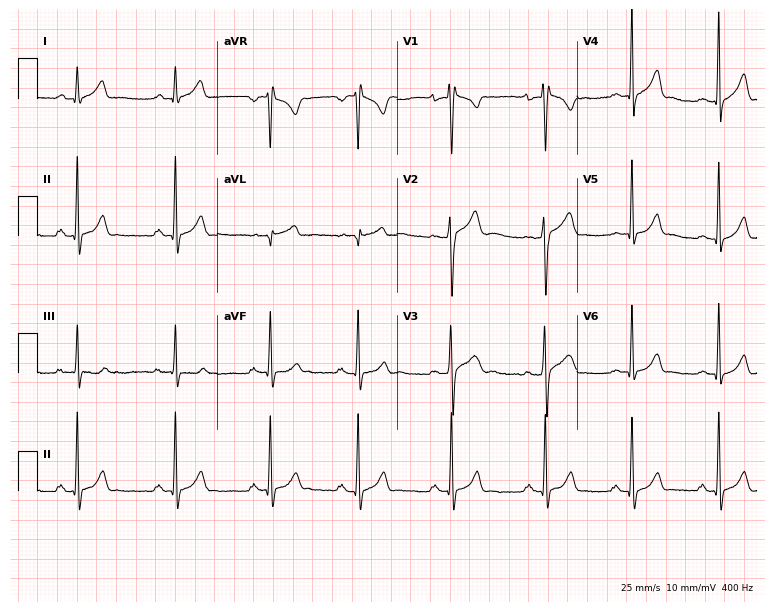
Standard 12-lead ECG recorded from a 17-year-old male patient (7.3-second recording at 400 Hz). Read as a normal ECG.